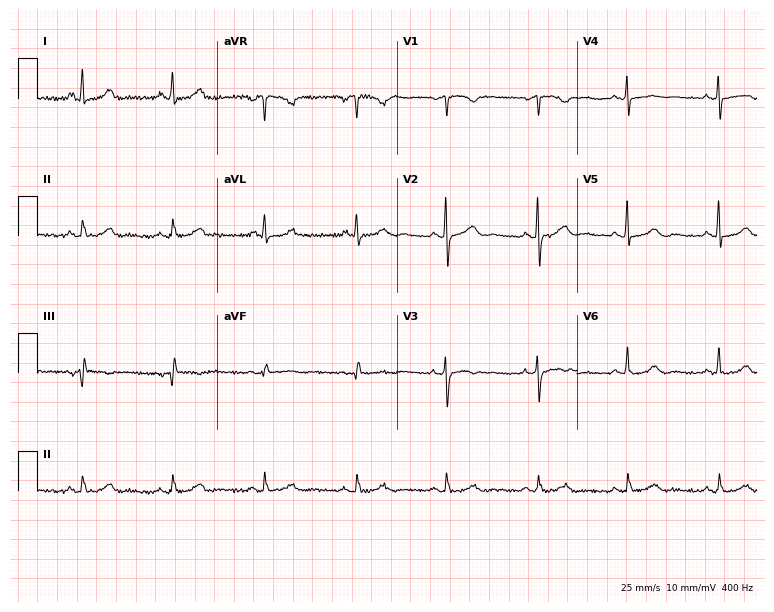
ECG (7.3-second recording at 400 Hz) — a 61-year-old female. Labelled as a normal ECG.